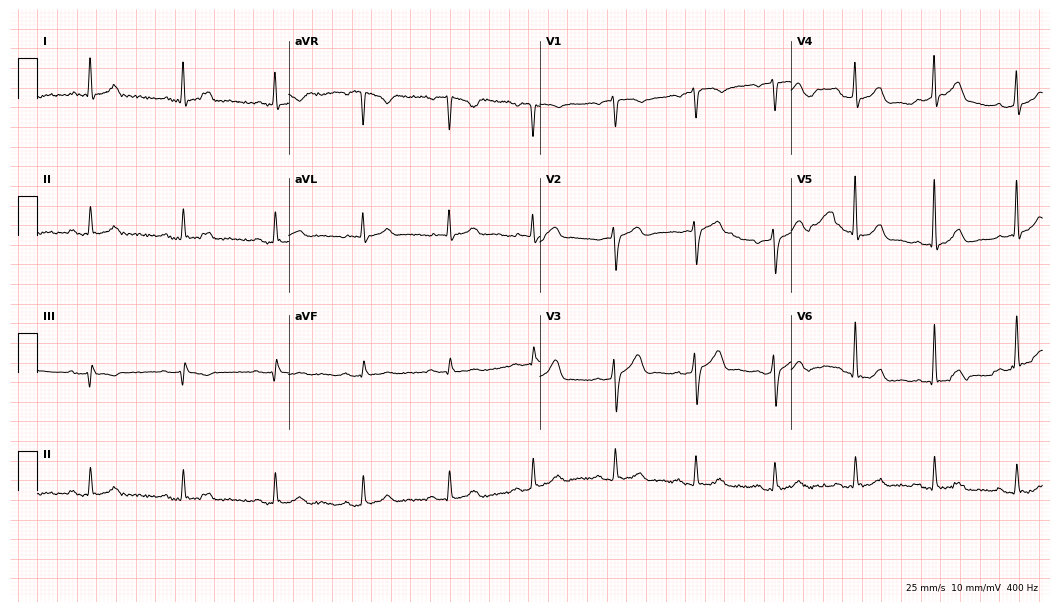
12-lead ECG (10.2-second recording at 400 Hz) from a 73-year-old male. Labelled as a normal ECG.